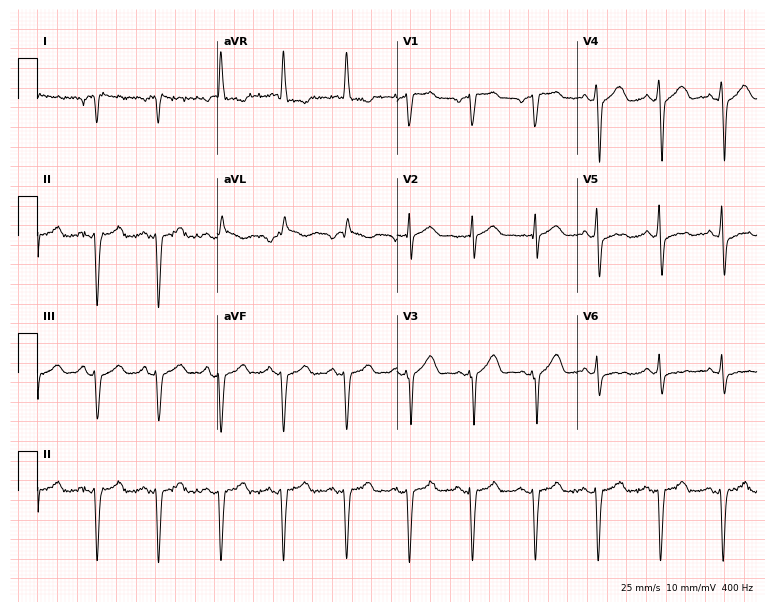
12-lead ECG (7.3-second recording at 400 Hz) from a 75-year-old man. Screened for six findings — first-degree AV block, right bundle branch block, left bundle branch block, sinus bradycardia, atrial fibrillation, sinus tachycardia — none is recorded.